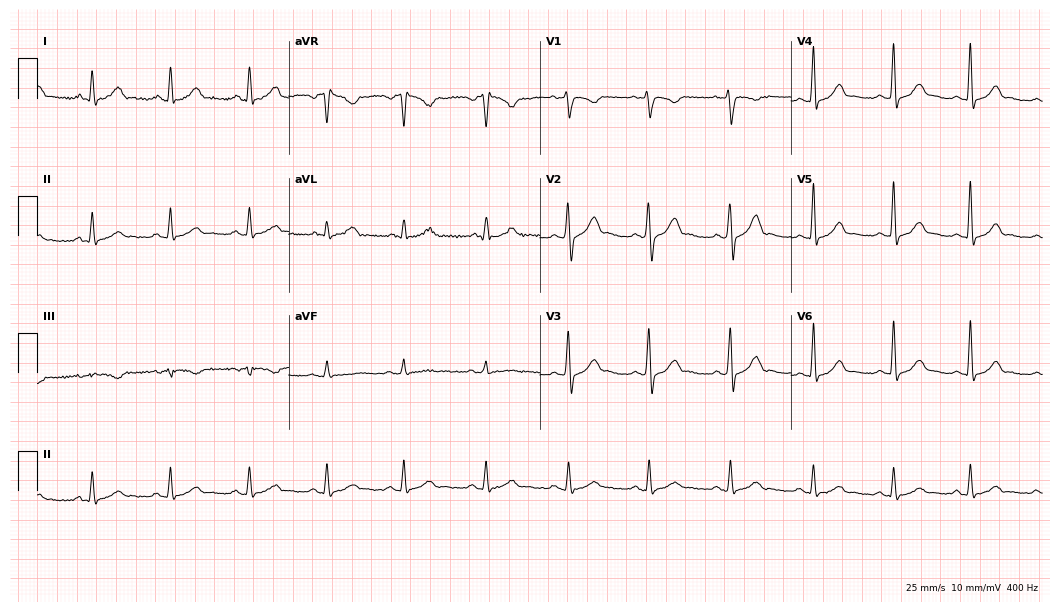
Standard 12-lead ECG recorded from a male patient, 42 years old. Read as a normal ECG.